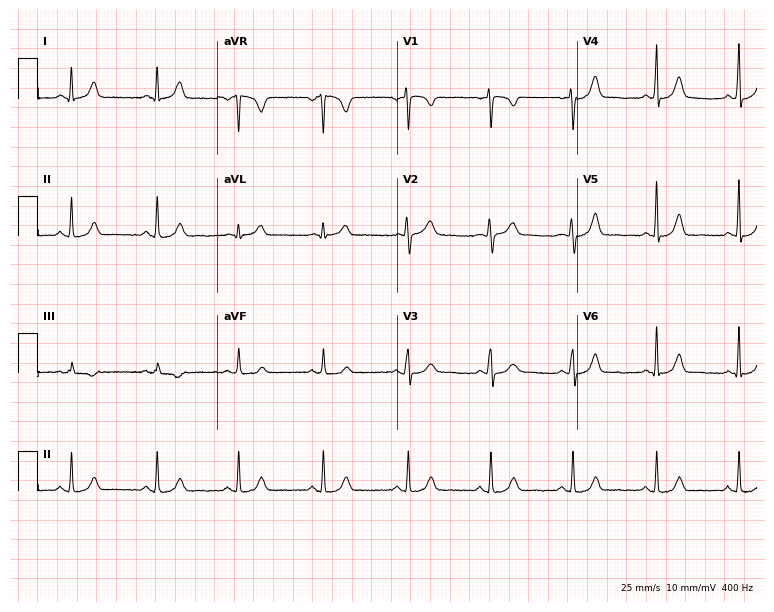
12-lead ECG (7.3-second recording at 400 Hz) from a female, 39 years old. Labelled as a normal ECG.